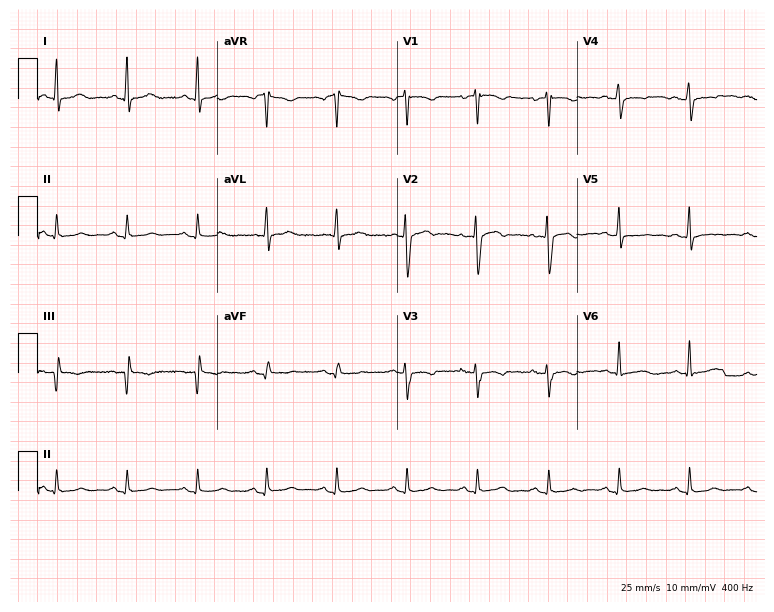
12-lead ECG from a female, 50 years old. Screened for six findings — first-degree AV block, right bundle branch block (RBBB), left bundle branch block (LBBB), sinus bradycardia, atrial fibrillation (AF), sinus tachycardia — none is recorded.